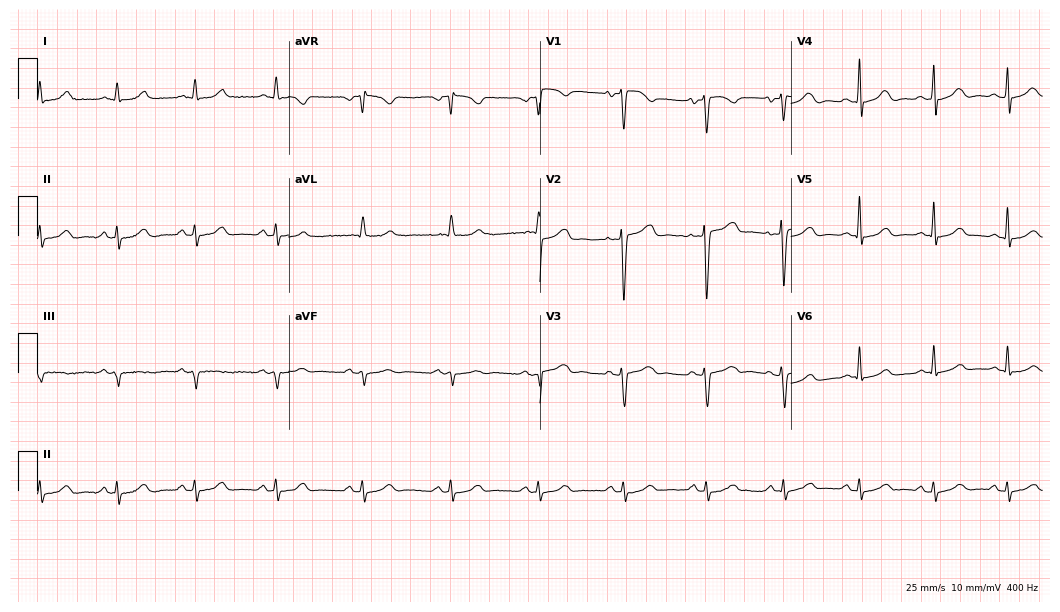
Electrocardiogram, a 62-year-old woman. Overall reading on record: normal ECG.